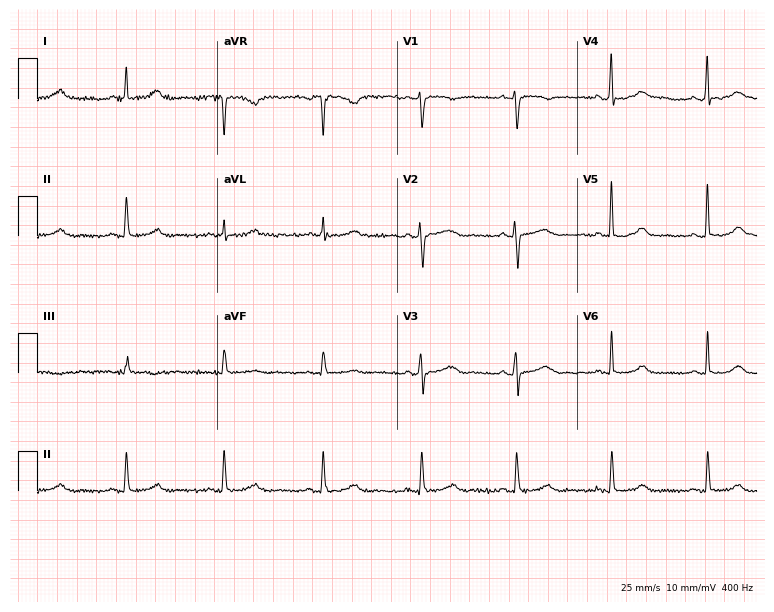
12-lead ECG (7.3-second recording at 400 Hz) from a 60-year-old female patient. Screened for six findings — first-degree AV block, right bundle branch block, left bundle branch block, sinus bradycardia, atrial fibrillation, sinus tachycardia — none is recorded. Findings outside these six are not listed.